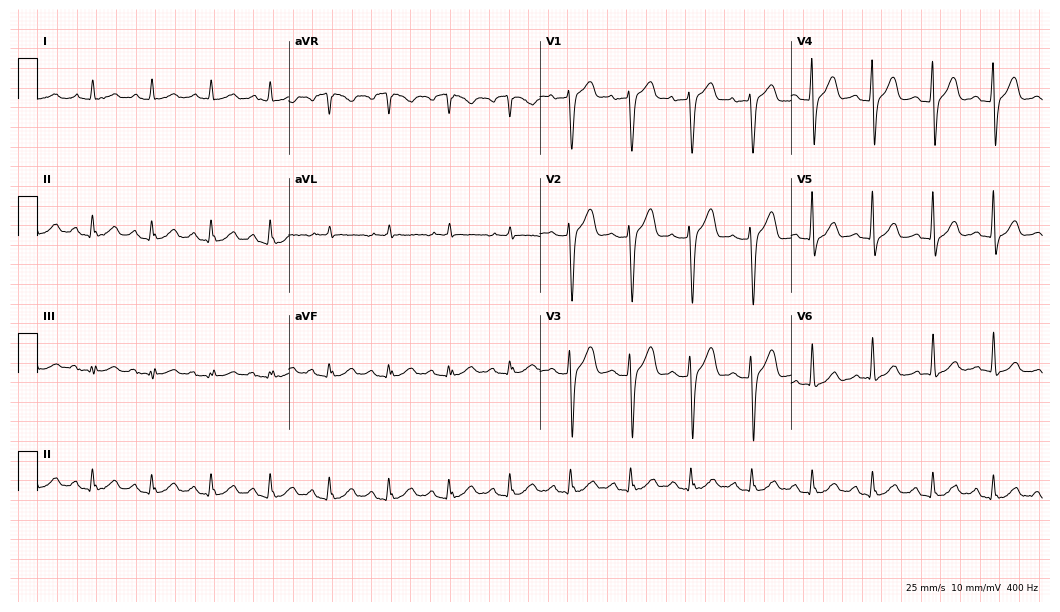
ECG (10.2-second recording at 400 Hz) — a man, 71 years old. Screened for six findings — first-degree AV block, right bundle branch block, left bundle branch block, sinus bradycardia, atrial fibrillation, sinus tachycardia — none is recorded. Other findings, if any, are not listed.